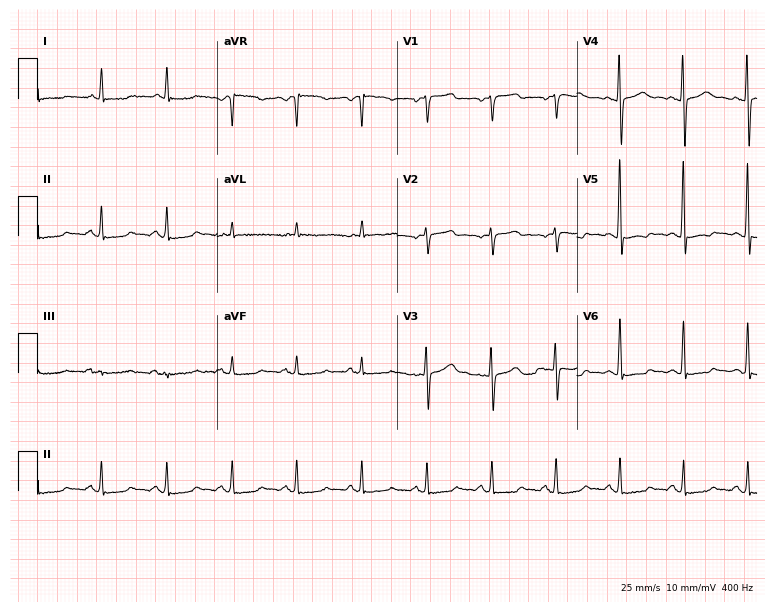
12-lead ECG from a male patient, 73 years old. Recorded interpretation: within normal limits.